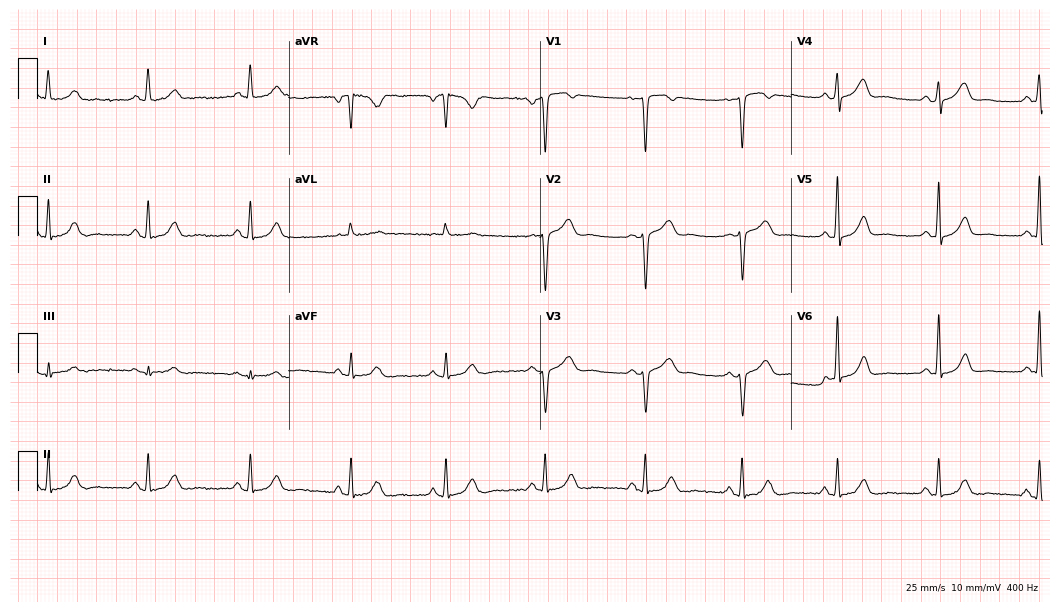
ECG — a female, 39 years old. Screened for six findings — first-degree AV block, right bundle branch block (RBBB), left bundle branch block (LBBB), sinus bradycardia, atrial fibrillation (AF), sinus tachycardia — none is recorded. Only these six findings were labelled.